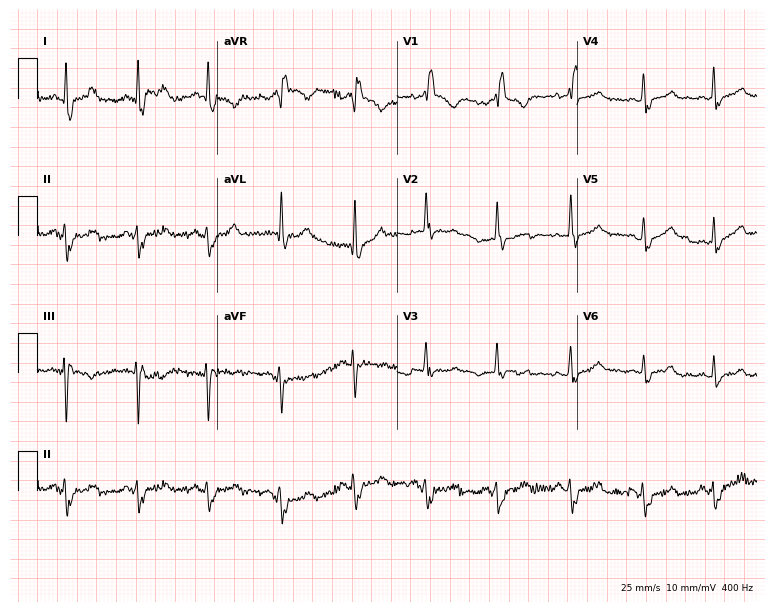
ECG (7.3-second recording at 400 Hz) — a 39-year-old woman. Findings include right bundle branch block.